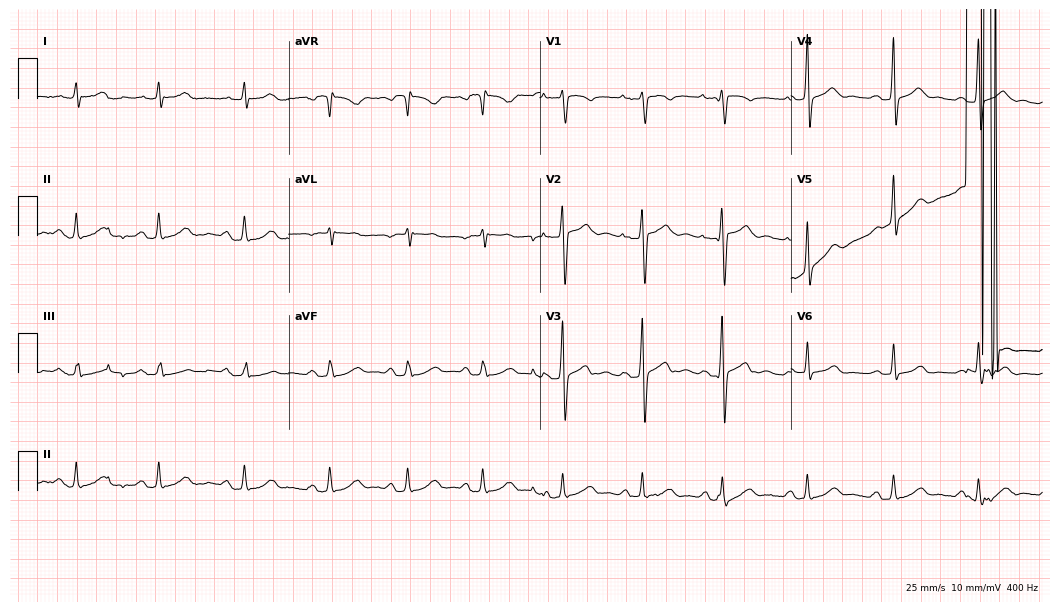
12-lead ECG from a male patient, 36 years old (10.2-second recording at 400 Hz). Recorded interpretation: within normal limits.